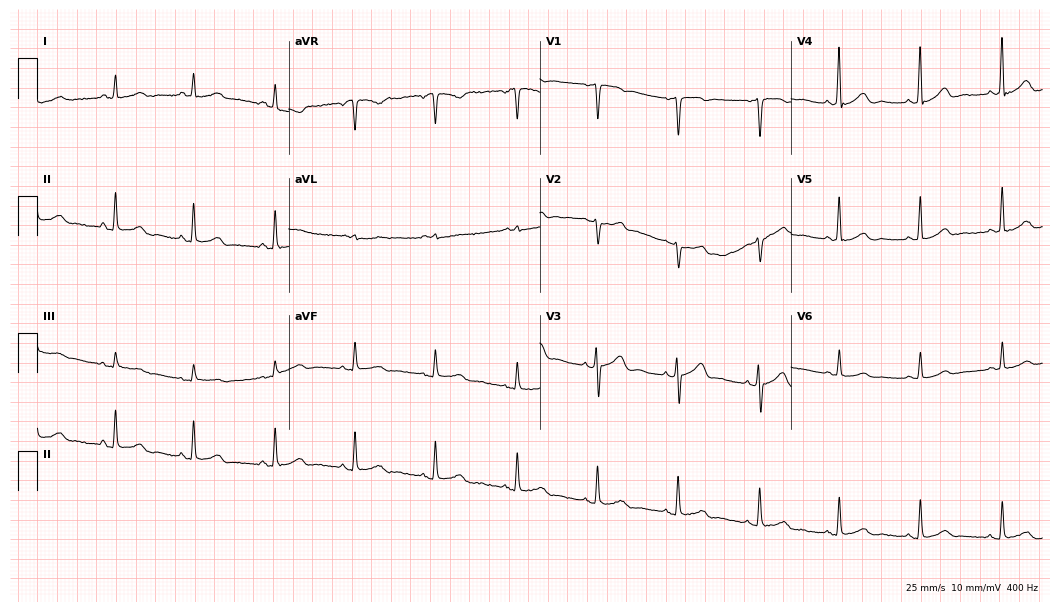
Resting 12-lead electrocardiogram. Patient: a female, 66 years old. Read as a normal ECG.